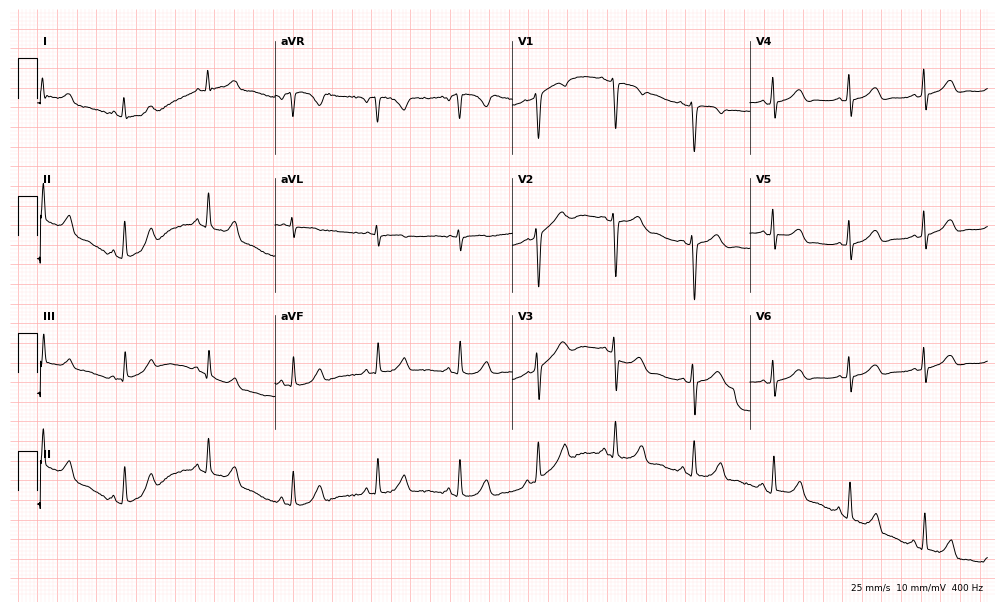
Resting 12-lead electrocardiogram (9.7-second recording at 400 Hz). Patient: a female, 38 years old. Read as a normal ECG.